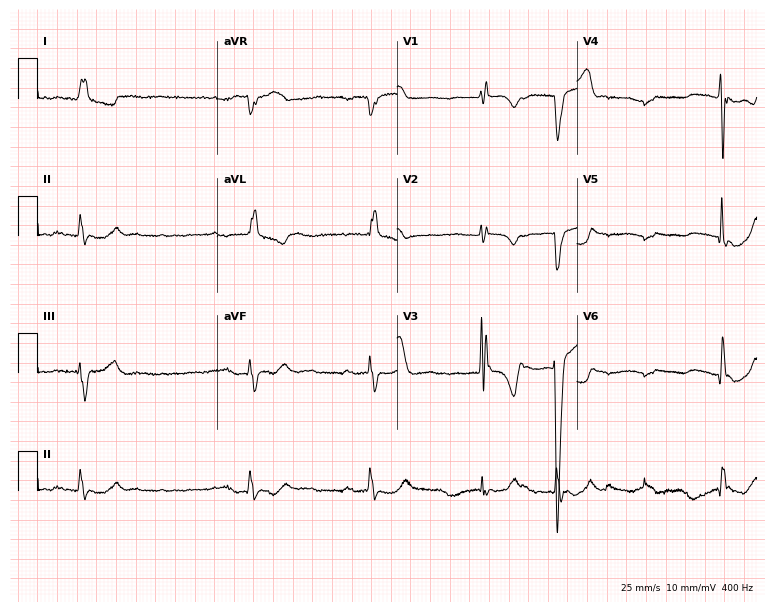
12-lead ECG from an 82-year-old woman. Shows sinus bradycardia (a sinus rate of 50 beats per minute or less), atrial fibrillation (AF).